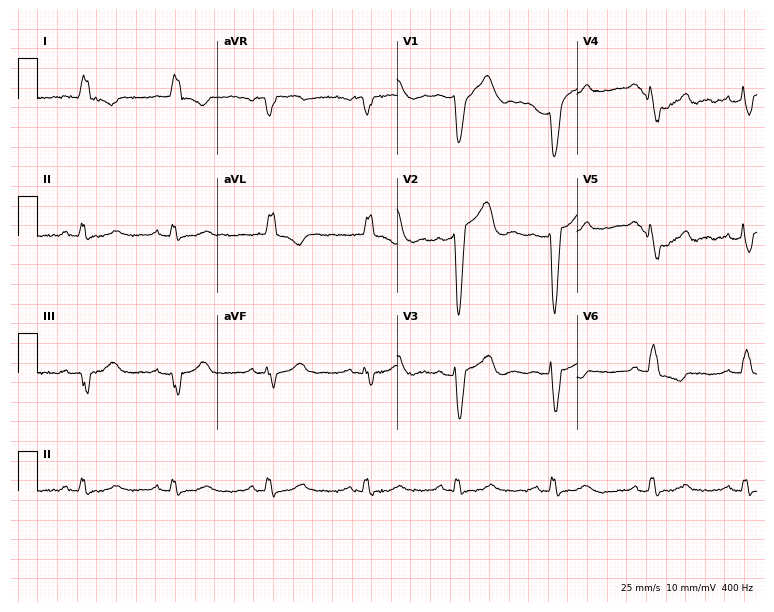
12-lead ECG from a female patient, 78 years old. Shows left bundle branch block (LBBB).